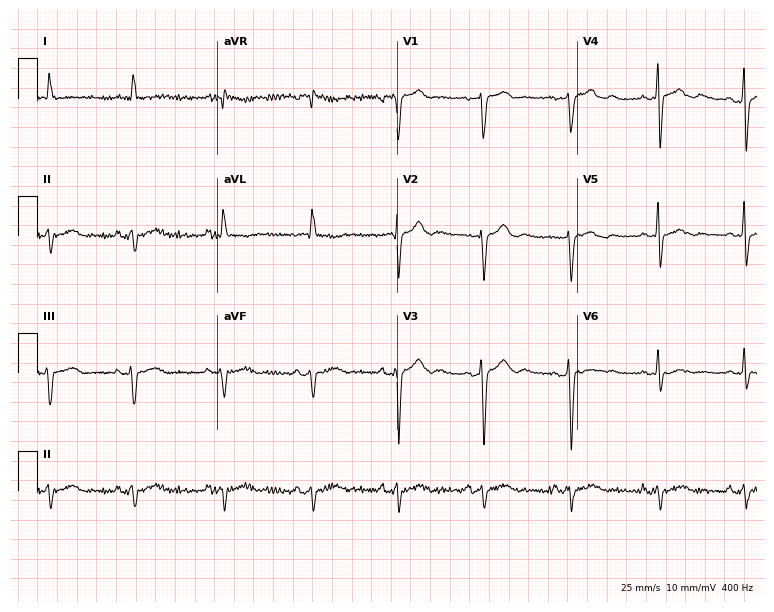
Standard 12-lead ECG recorded from a male patient, 77 years old (7.3-second recording at 400 Hz). None of these six findings is recorded: first-degree AV block, right bundle branch block, left bundle branch block, sinus bradycardia, atrial fibrillation, sinus tachycardia. Only these six findings were labelled.